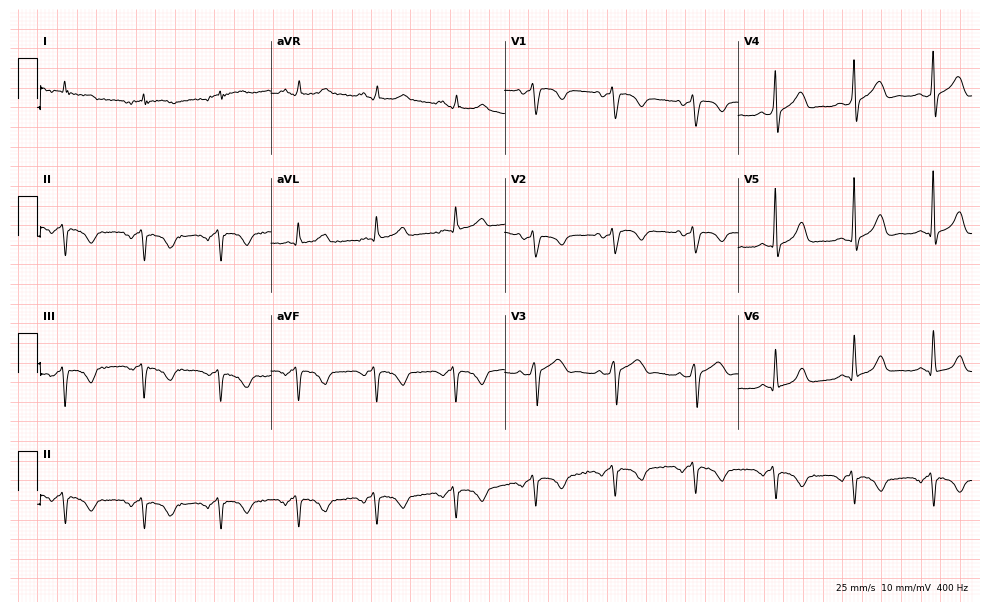
12-lead ECG (9.5-second recording at 400 Hz) from a 51-year-old male patient. Screened for six findings — first-degree AV block, right bundle branch block (RBBB), left bundle branch block (LBBB), sinus bradycardia, atrial fibrillation (AF), sinus tachycardia — none is recorded. Only these six findings were labelled.